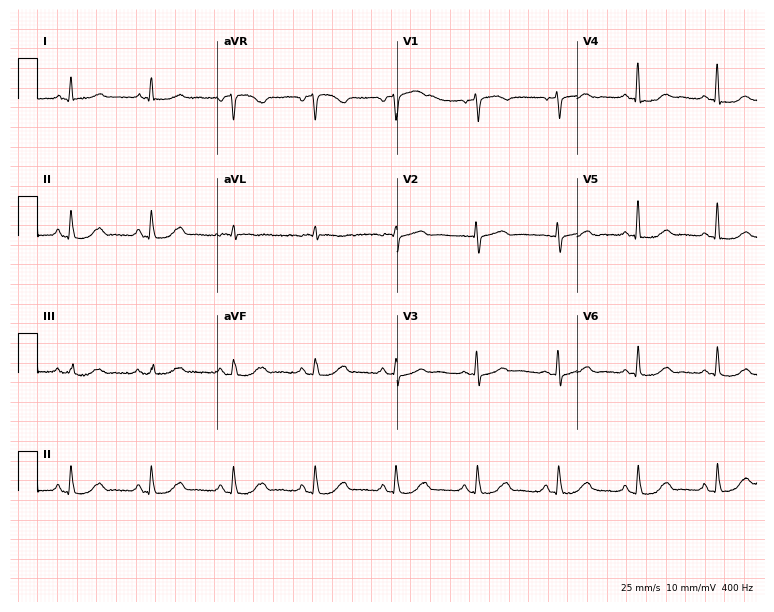
12-lead ECG from a female patient, 75 years old. Recorded interpretation: within normal limits.